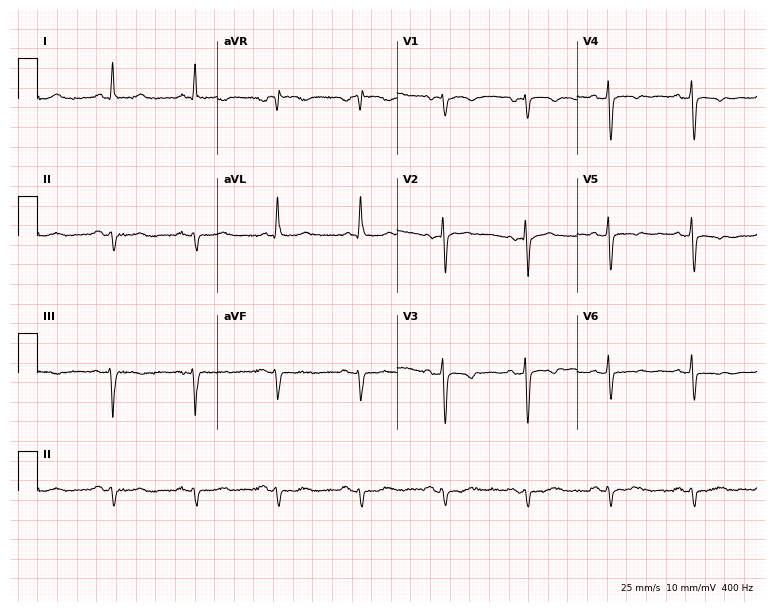
12-lead ECG from a 63-year-old woman. No first-degree AV block, right bundle branch block, left bundle branch block, sinus bradycardia, atrial fibrillation or sinus tachycardia recorded for this tracing. Only these six findings were labelled.